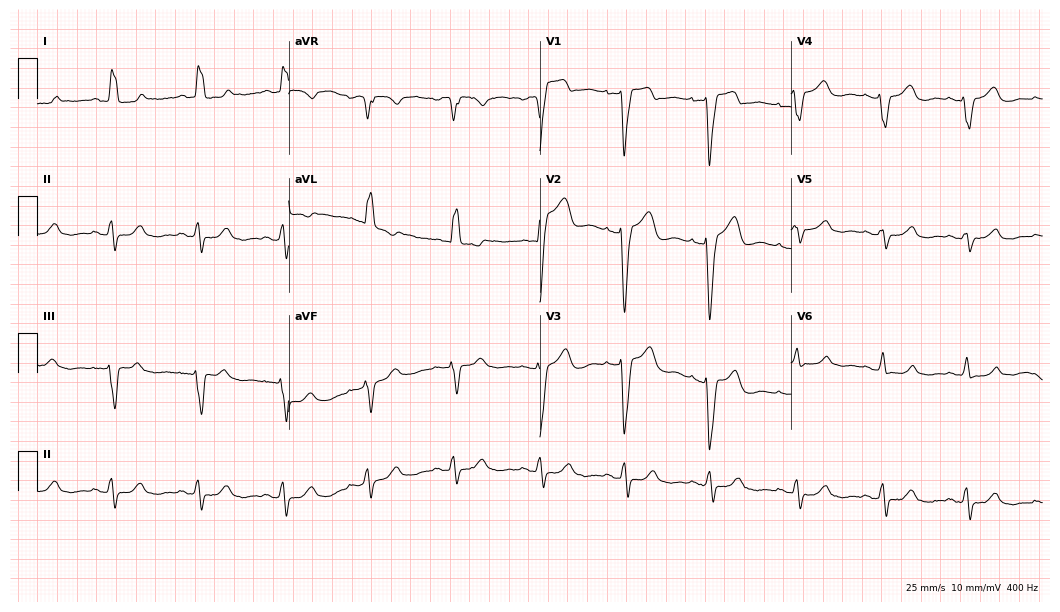
Standard 12-lead ECG recorded from a 54-year-old female. The tracing shows left bundle branch block.